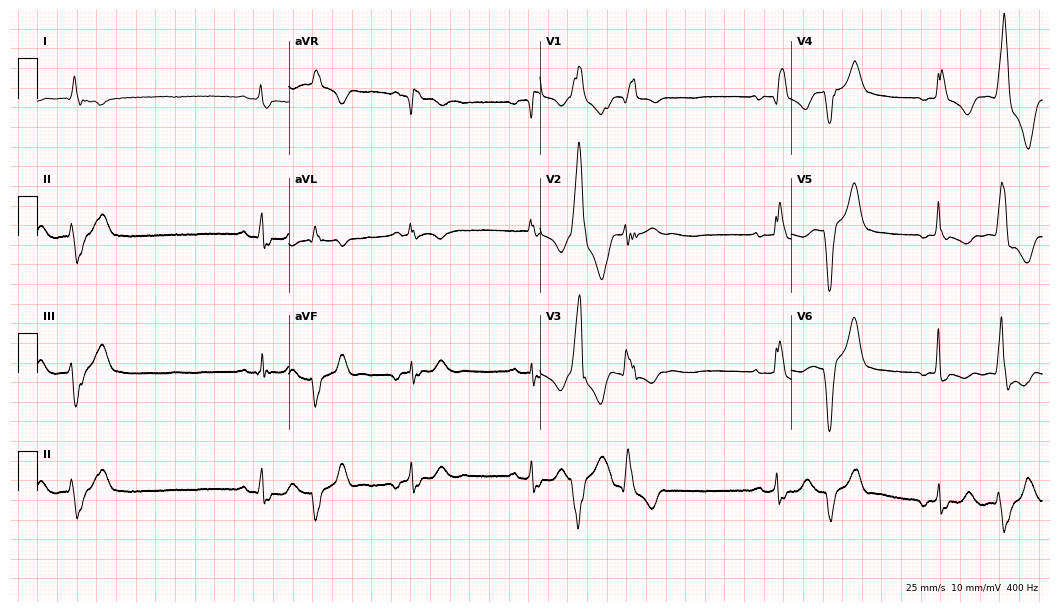
ECG (10.2-second recording at 400 Hz) — a woman, 63 years old. Findings include right bundle branch block.